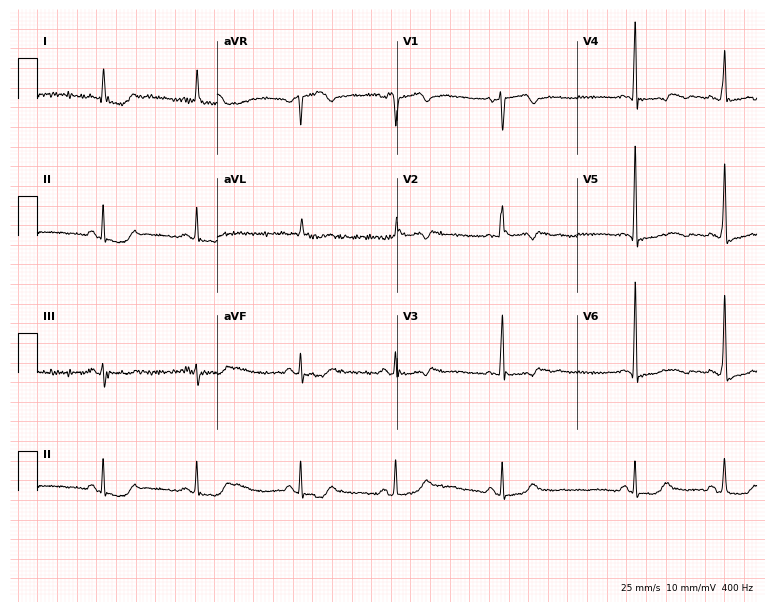
Electrocardiogram (7.3-second recording at 400 Hz), a 79-year-old female patient. Of the six screened findings (first-degree AV block, right bundle branch block (RBBB), left bundle branch block (LBBB), sinus bradycardia, atrial fibrillation (AF), sinus tachycardia), none is recorded.